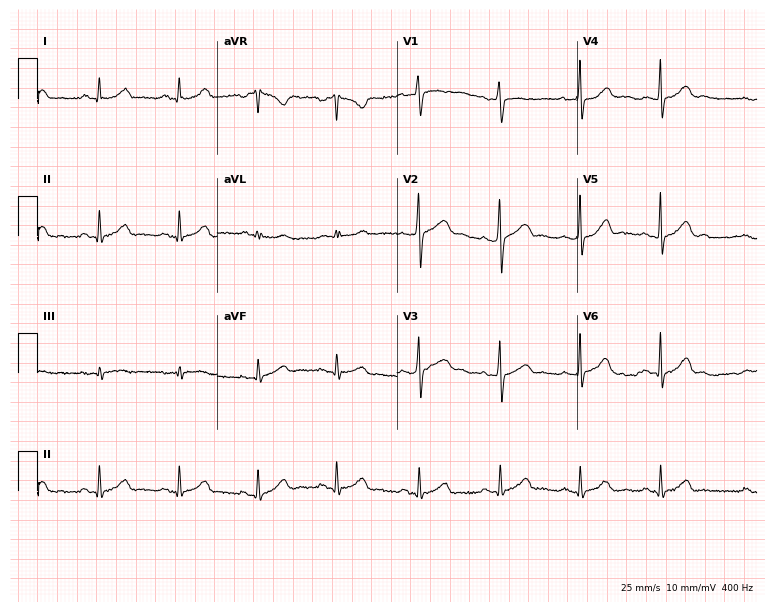
ECG (7.3-second recording at 400 Hz) — a female, 21 years old. Labelled as a normal ECG.